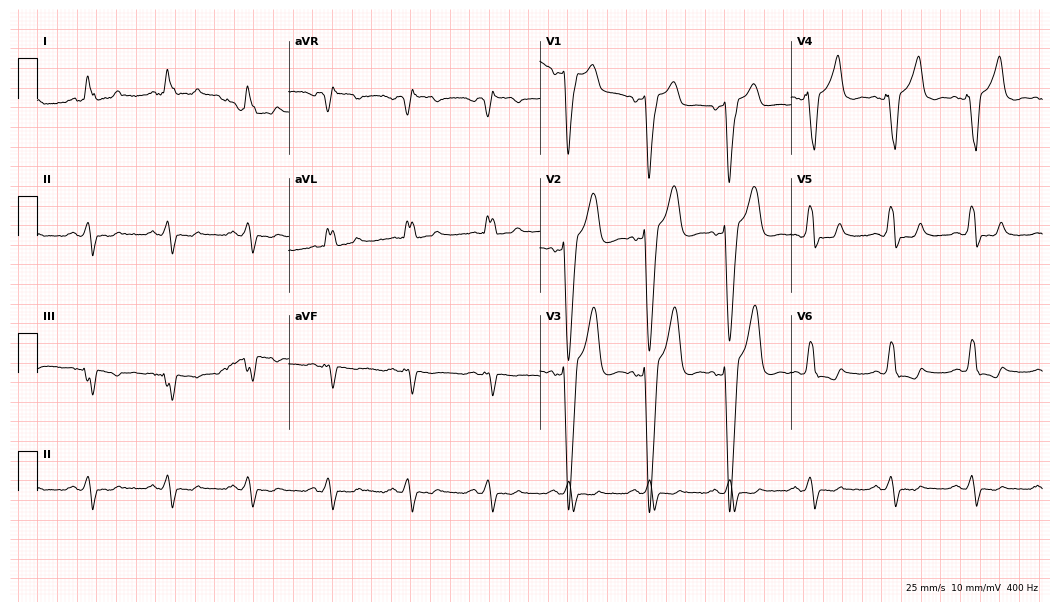
Electrocardiogram (10.2-second recording at 400 Hz), a man, 63 years old. Interpretation includes left bundle branch block (LBBB).